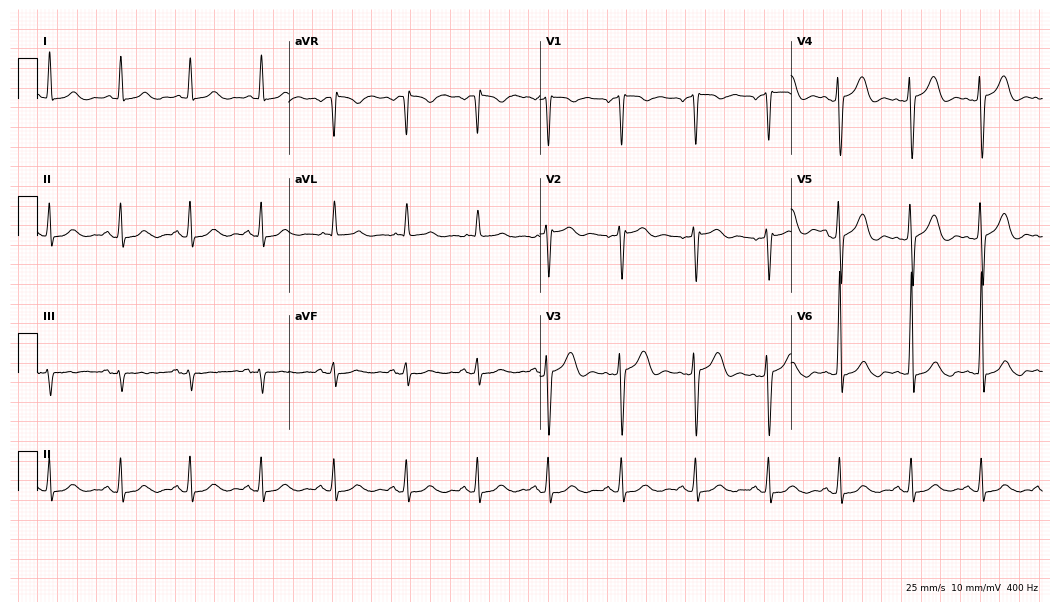
12-lead ECG from a 39-year-old male patient. No first-degree AV block, right bundle branch block, left bundle branch block, sinus bradycardia, atrial fibrillation or sinus tachycardia recorded for this tracing.